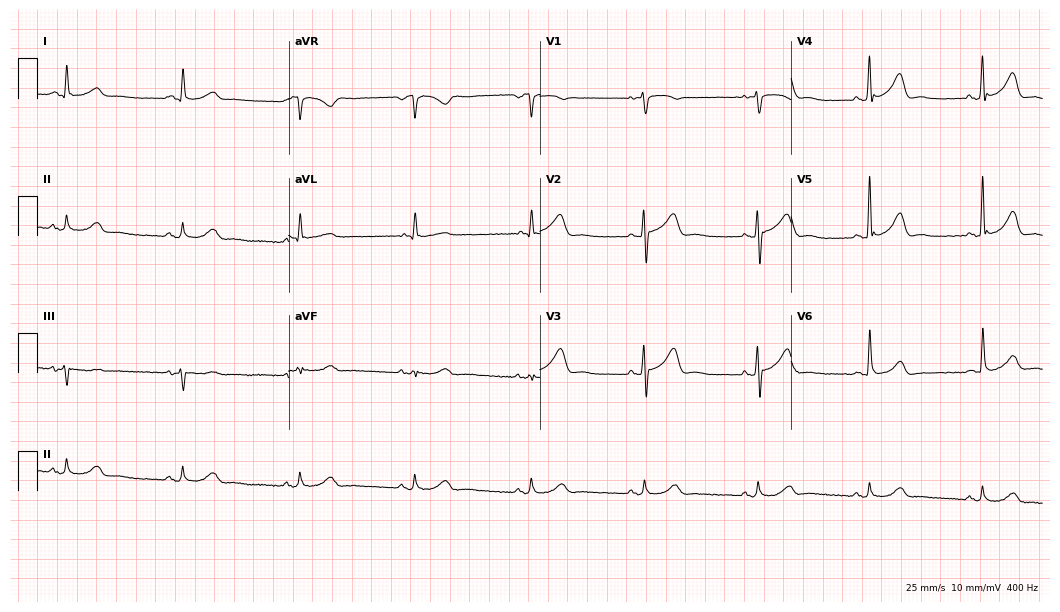
Resting 12-lead electrocardiogram. Patient: a 60-year-old female. Read as a normal ECG.